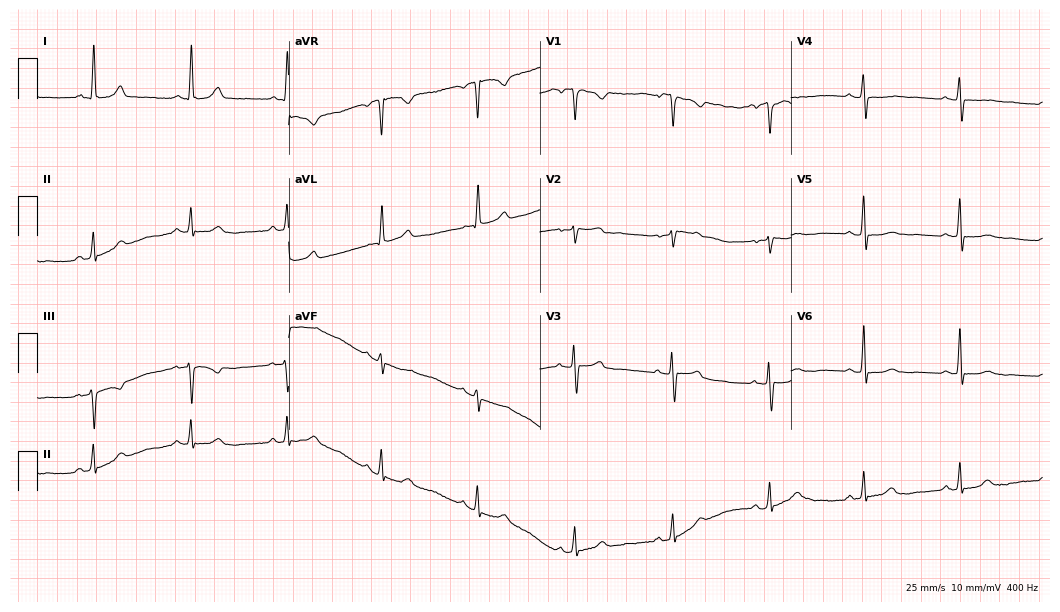
12-lead ECG from a female patient, 57 years old. No first-degree AV block, right bundle branch block, left bundle branch block, sinus bradycardia, atrial fibrillation or sinus tachycardia recorded for this tracing. Findings outside these six are not listed.